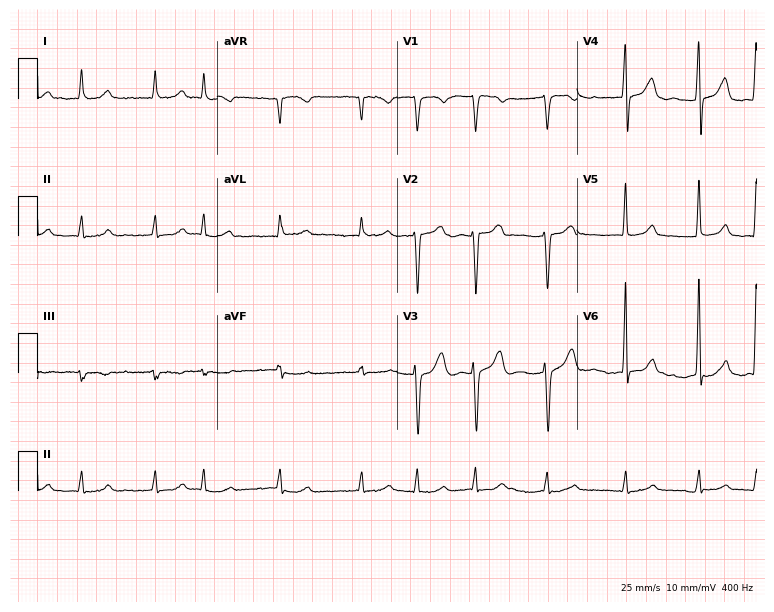
12-lead ECG from a male patient, 76 years old. Findings include atrial fibrillation.